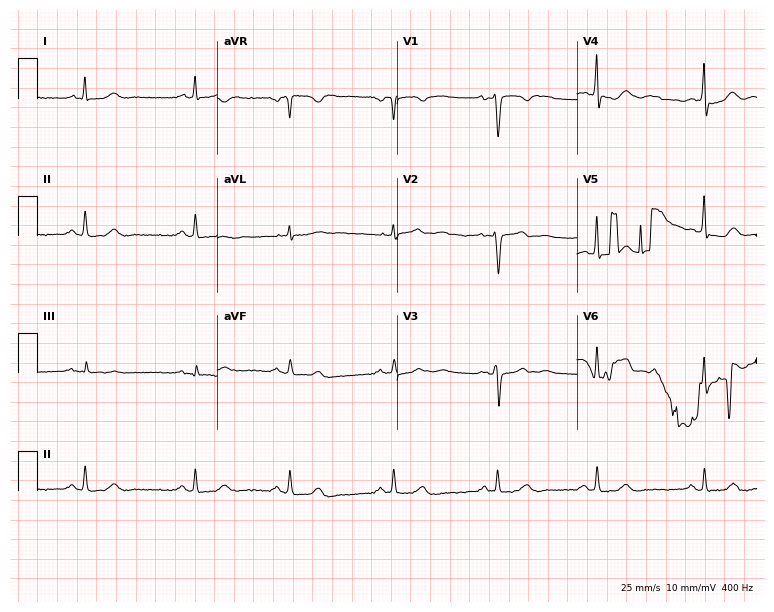
Standard 12-lead ECG recorded from a 55-year-old female (7.3-second recording at 400 Hz). None of these six findings is recorded: first-degree AV block, right bundle branch block, left bundle branch block, sinus bradycardia, atrial fibrillation, sinus tachycardia. Findings outside these six are not listed.